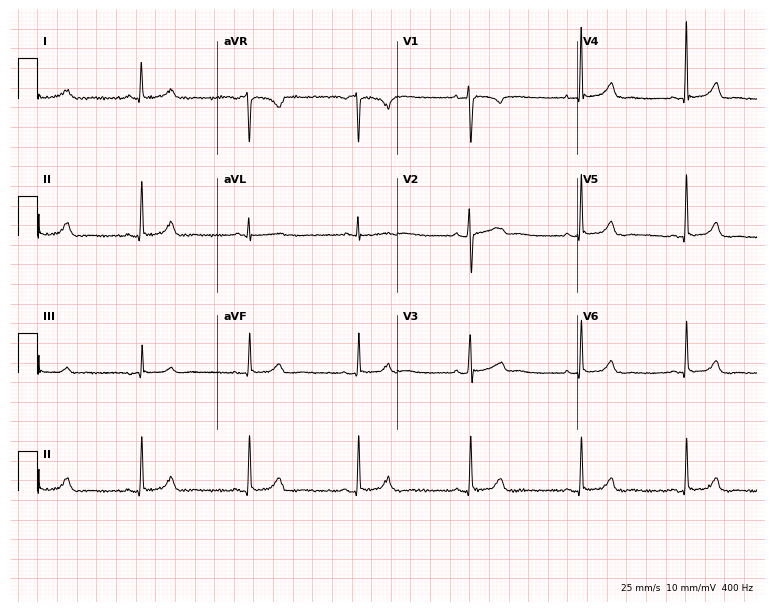
Standard 12-lead ECG recorded from a 34-year-old female. None of these six findings is recorded: first-degree AV block, right bundle branch block, left bundle branch block, sinus bradycardia, atrial fibrillation, sinus tachycardia.